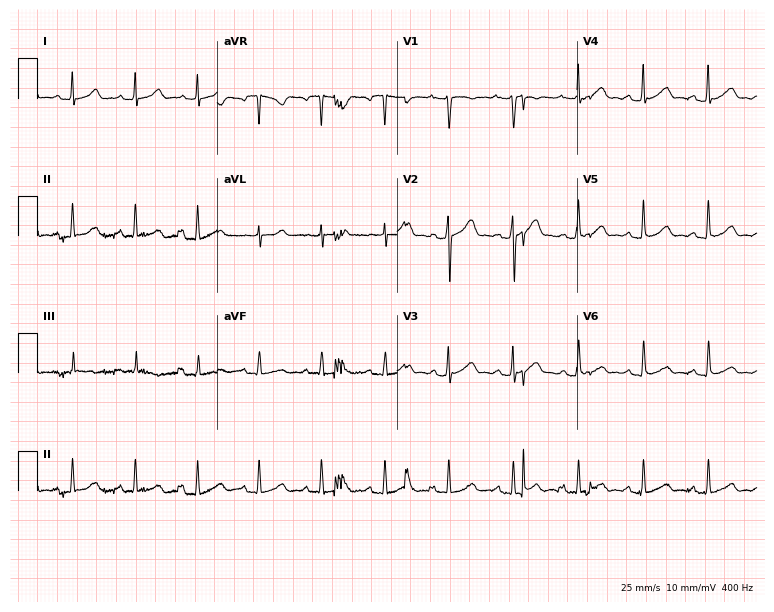
Electrocardiogram, a 30-year-old female. Overall reading on record: normal ECG.